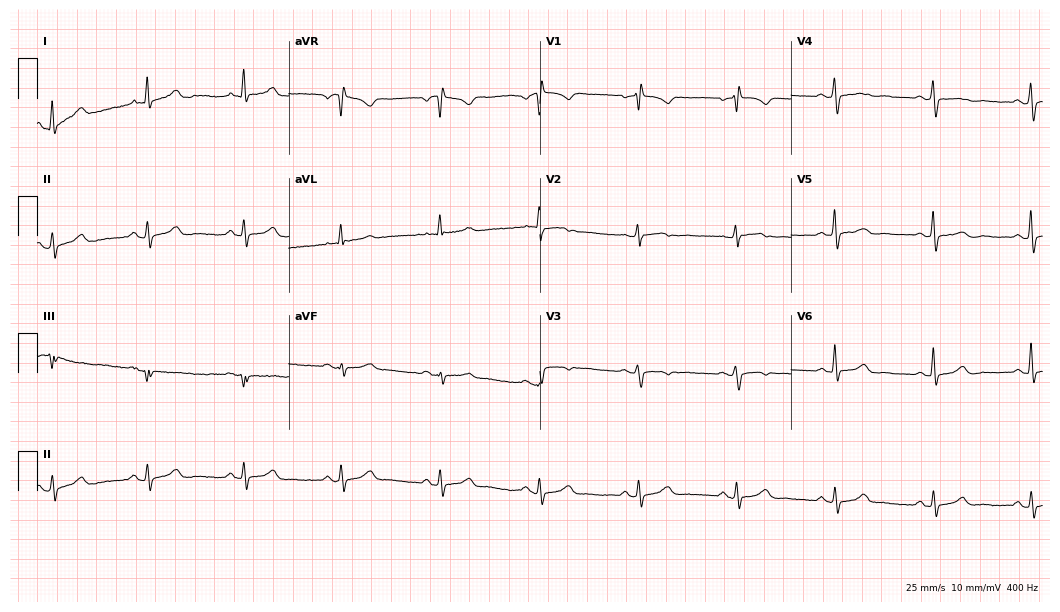
12-lead ECG from a 61-year-old woman (10.2-second recording at 400 Hz). Recorded interpretation: within normal limits.